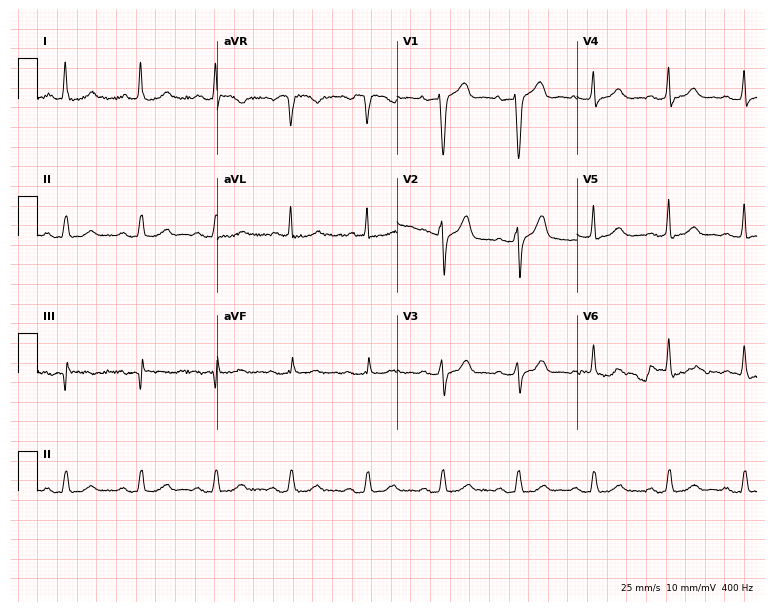
12-lead ECG from an 80-year-old female. Labelled as a normal ECG.